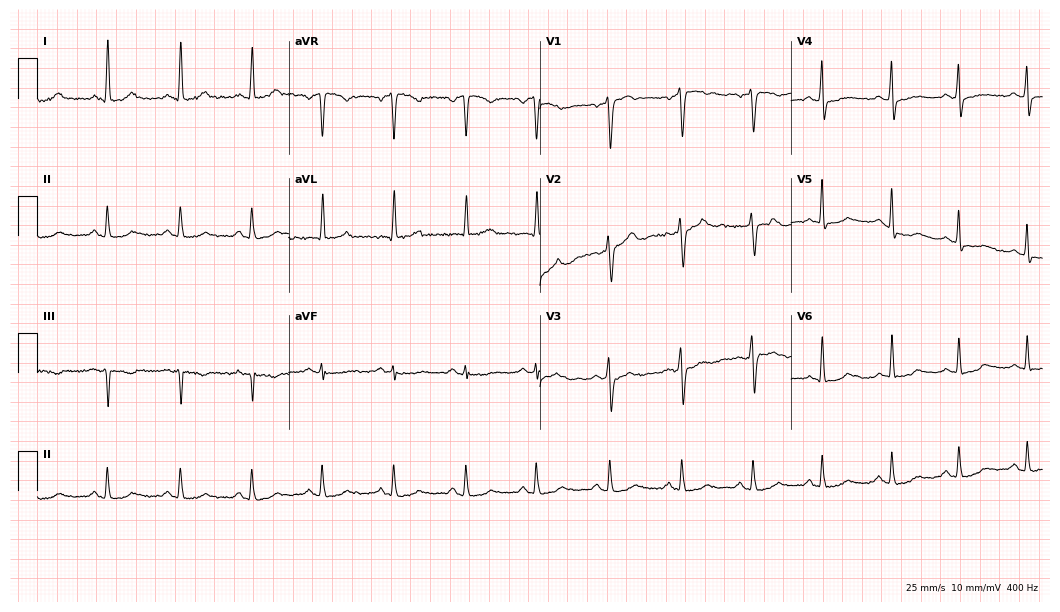
Resting 12-lead electrocardiogram (10.2-second recording at 400 Hz). Patient: a 38-year-old female. Read as a normal ECG.